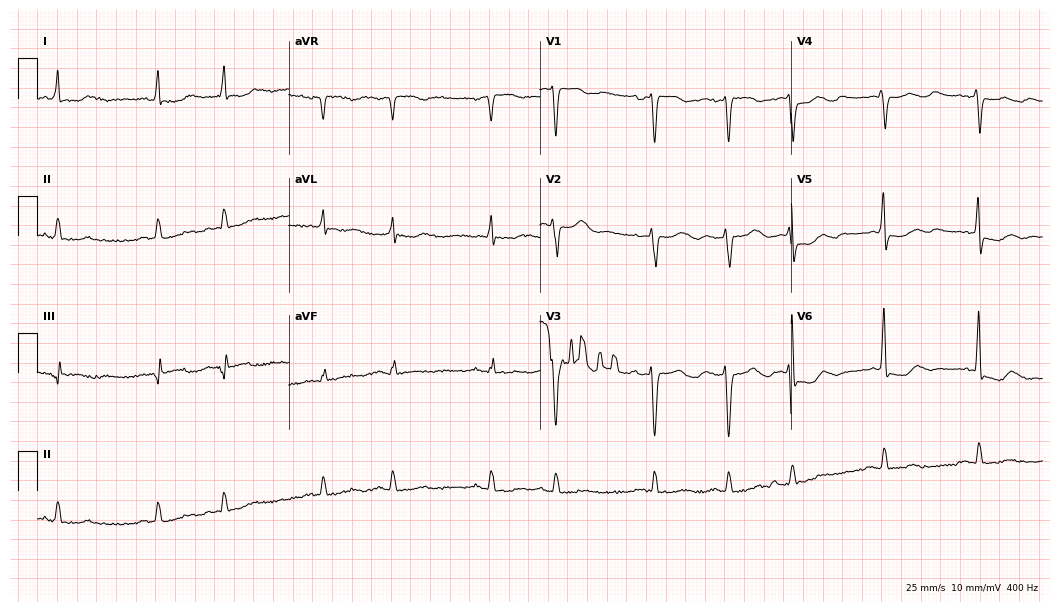
Electrocardiogram (10.2-second recording at 400 Hz), a male patient, 84 years old. Of the six screened findings (first-degree AV block, right bundle branch block, left bundle branch block, sinus bradycardia, atrial fibrillation, sinus tachycardia), none is recorded.